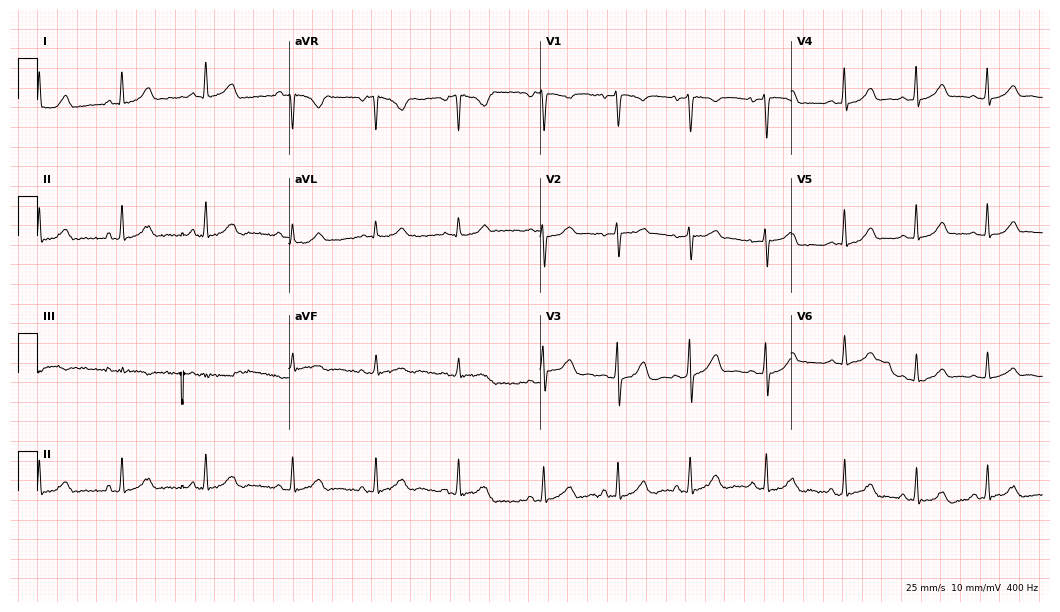
Electrocardiogram, a 38-year-old female. Overall reading on record: normal ECG.